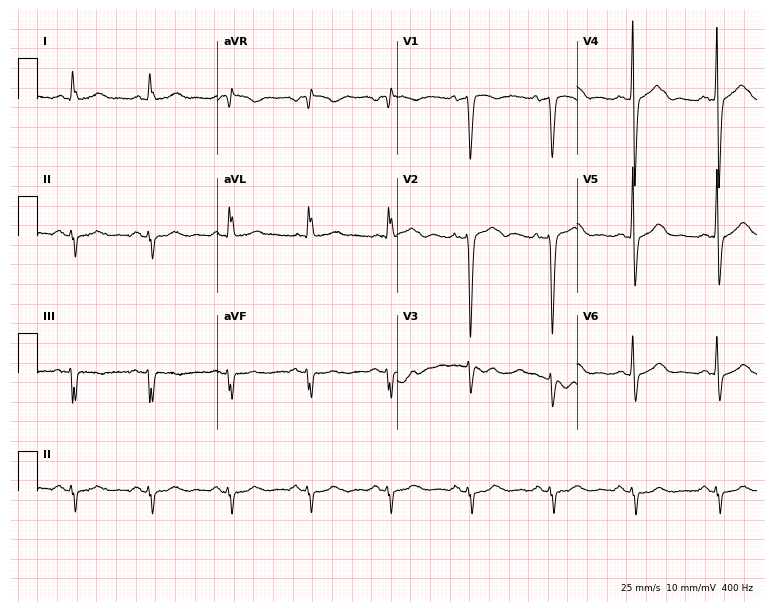
12-lead ECG from a 69-year-old male patient (7.3-second recording at 400 Hz). No first-degree AV block, right bundle branch block, left bundle branch block, sinus bradycardia, atrial fibrillation or sinus tachycardia recorded for this tracing.